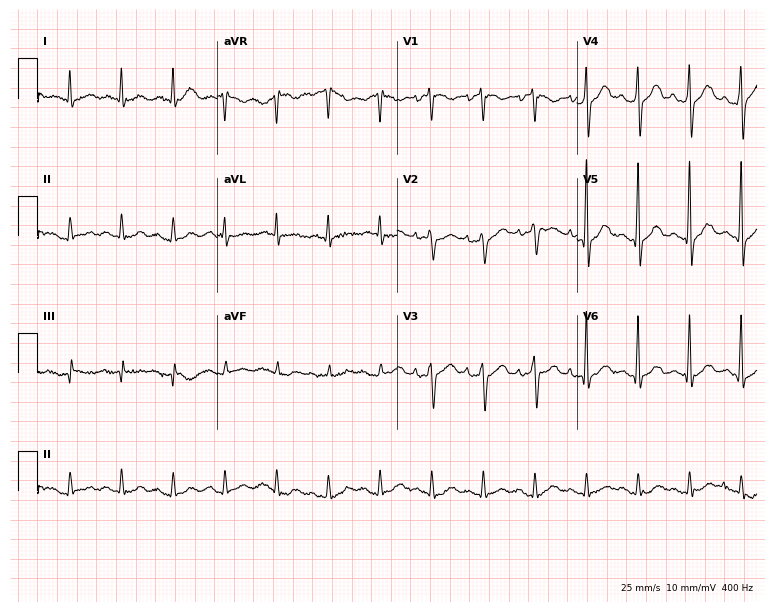
Resting 12-lead electrocardiogram. Patient: a male, 63 years old. The tracing shows sinus tachycardia (a sinus rate of 100 beats per minute or more).